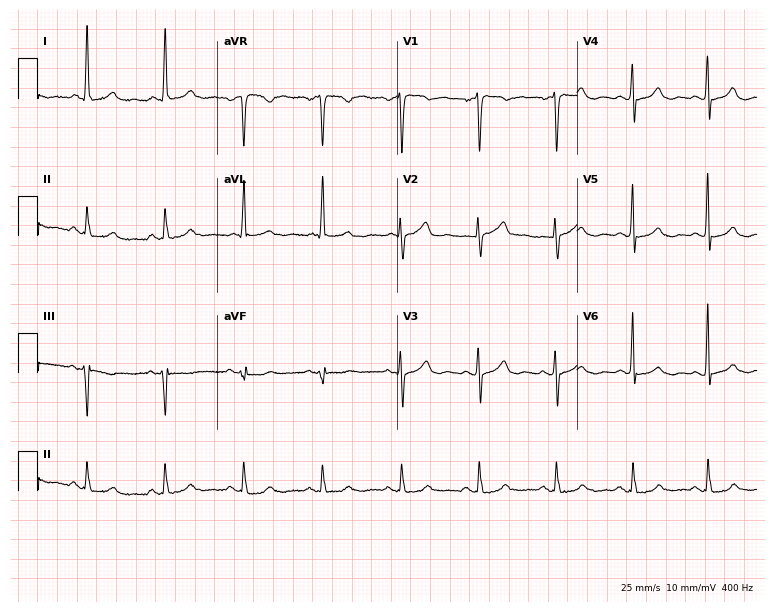
12-lead ECG from a female, 68 years old. Screened for six findings — first-degree AV block, right bundle branch block, left bundle branch block, sinus bradycardia, atrial fibrillation, sinus tachycardia — none is recorded.